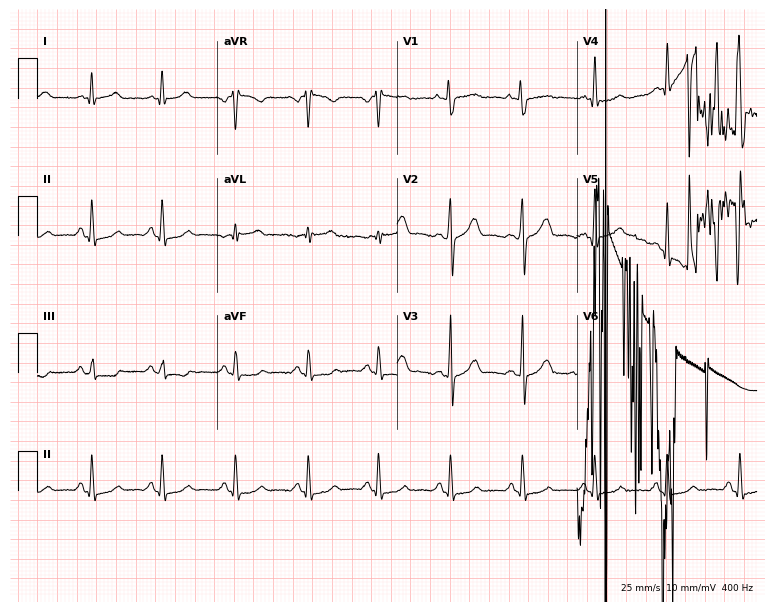
Standard 12-lead ECG recorded from a female, 31 years old. None of these six findings is recorded: first-degree AV block, right bundle branch block (RBBB), left bundle branch block (LBBB), sinus bradycardia, atrial fibrillation (AF), sinus tachycardia. Other findings, if any, are not listed.